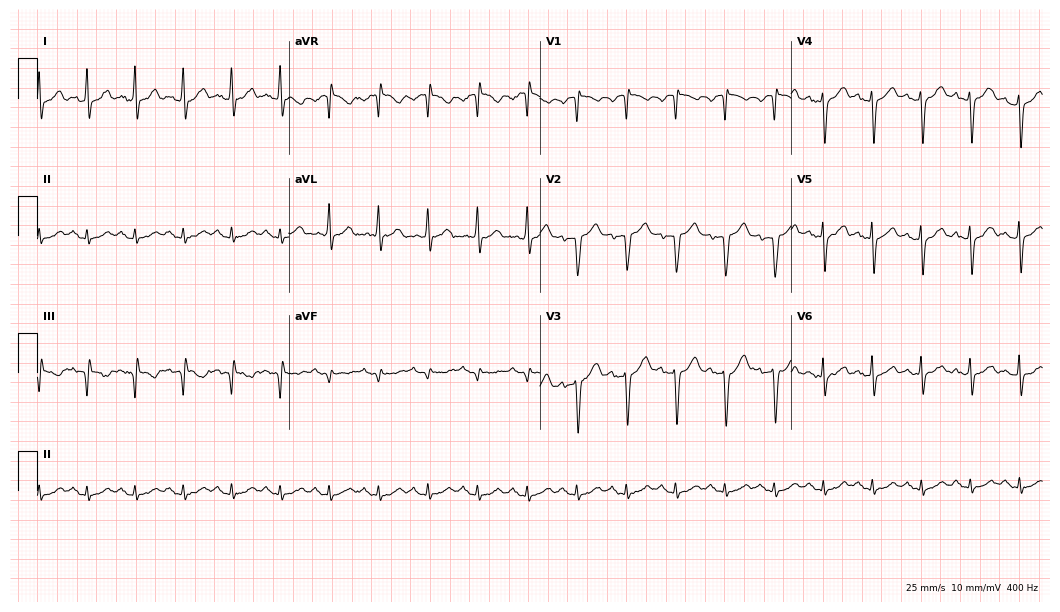
Electrocardiogram, a man, 42 years old. Interpretation includes sinus tachycardia (a sinus rate of 100 beats per minute or more).